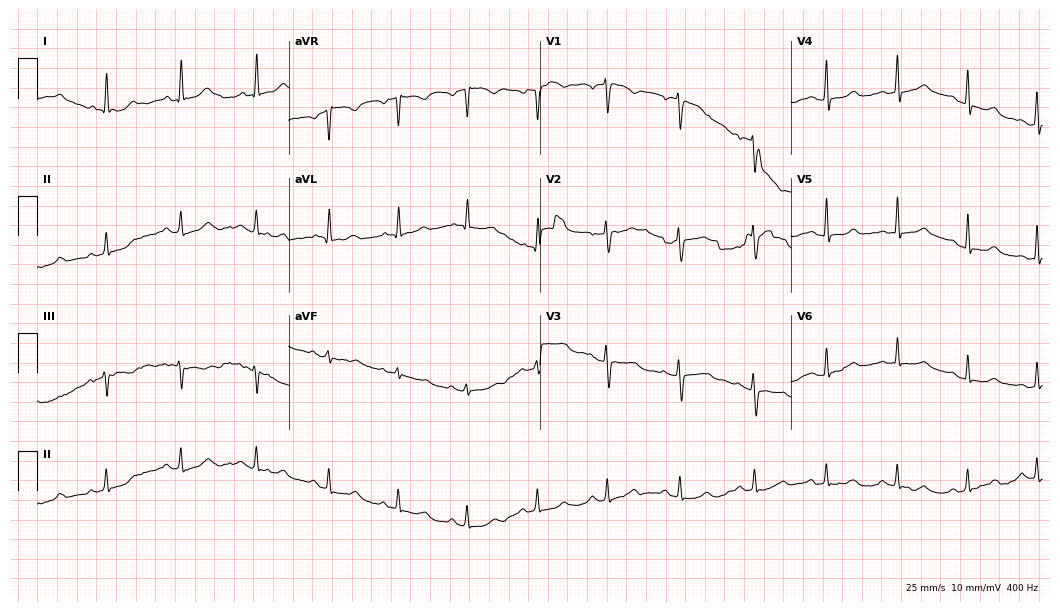
Standard 12-lead ECG recorded from a woman, 49 years old. Read as a normal ECG.